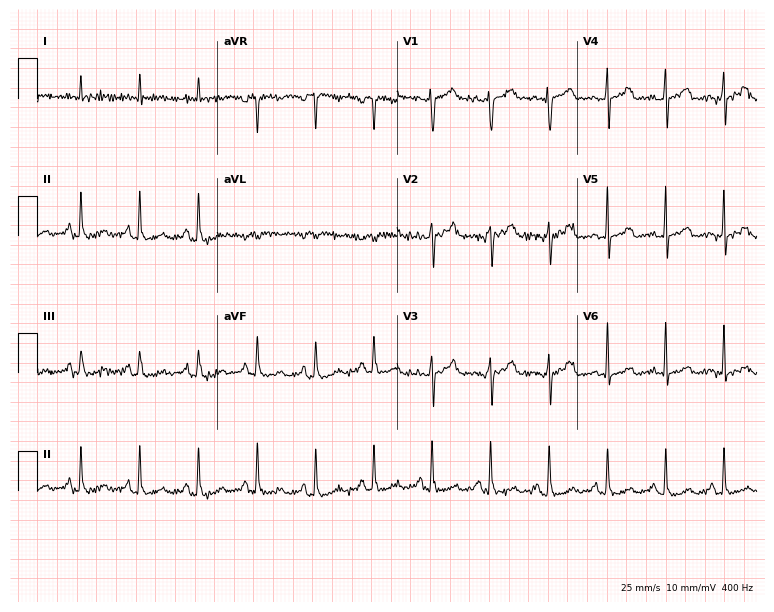
12-lead ECG (7.3-second recording at 400 Hz) from a male, 50 years old. Labelled as a normal ECG.